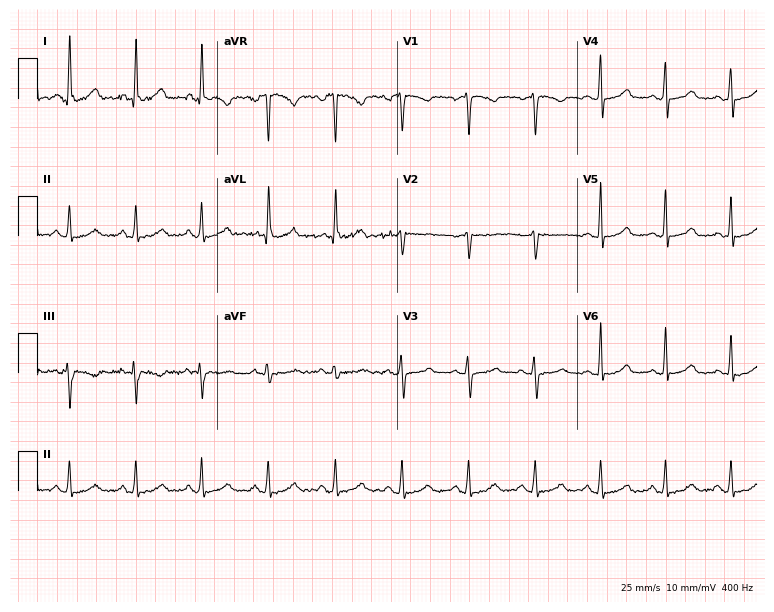
12-lead ECG from a 37-year-old female. Labelled as a normal ECG.